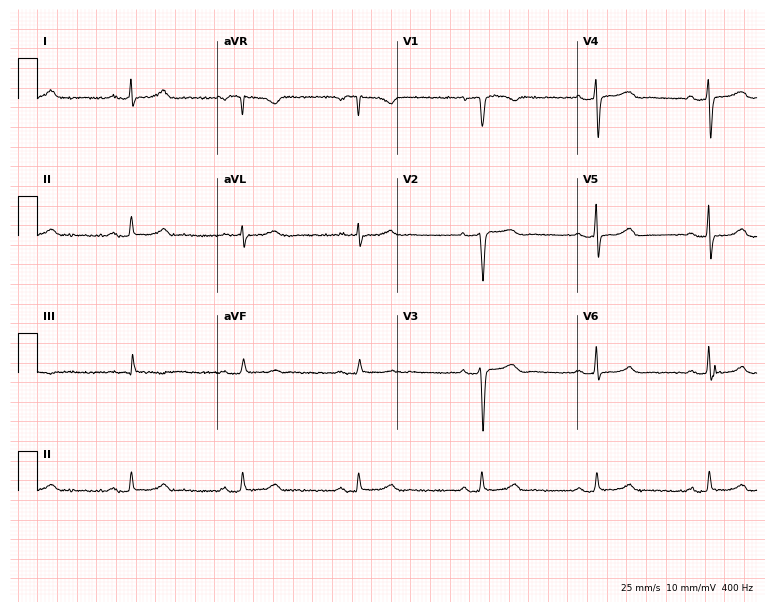
12-lead ECG (7.3-second recording at 400 Hz) from a 46-year-old female patient. Screened for six findings — first-degree AV block, right bundle branch block, left bundle branch block, sinus bradycardia, atrial fibrillation, sinus tachycardia — none is recorded.